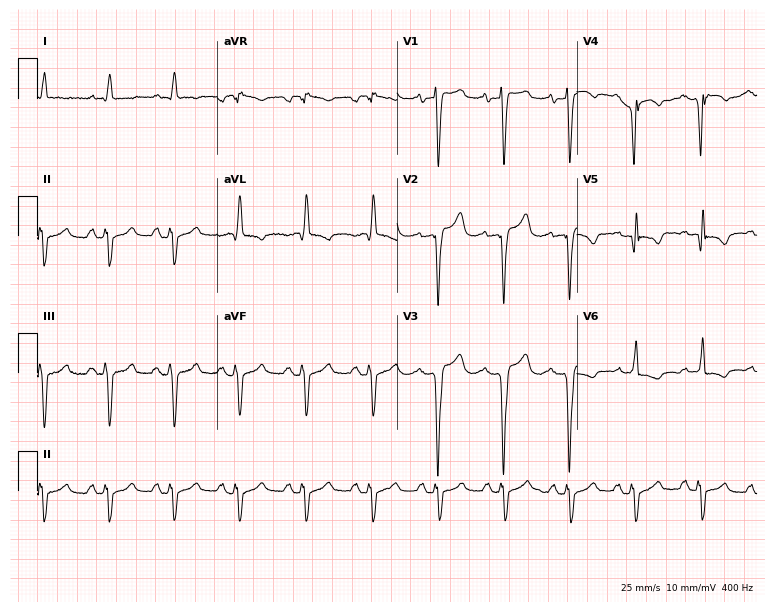
12-lead ECG (7.3-second recording at 400 Hz) from a 38-year-old man. Screened for six findings — first-degree AV block, right bundle branch block, left bundle branch block, sinus bradycardia, atrial fibrillation, sinus tachycardia — none is recorded.